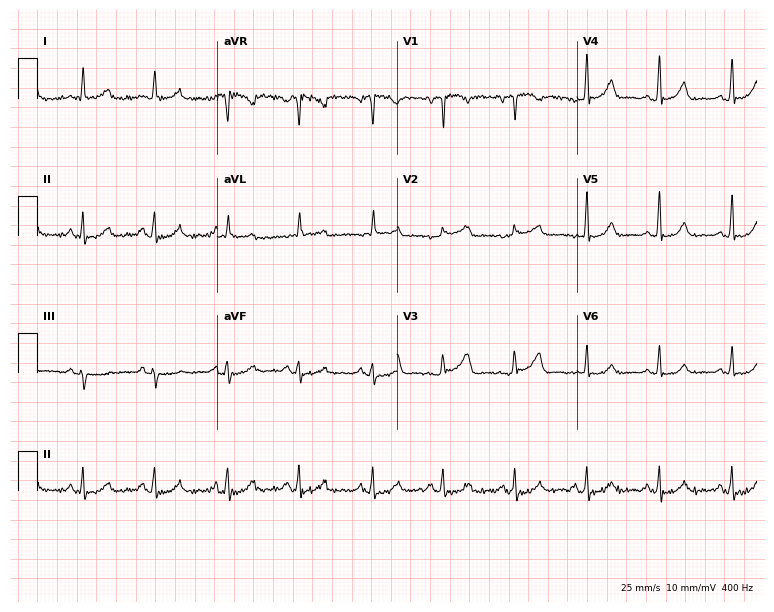
ECG — a woman, 75 years old. Screened for six findings — first-degree AV block, right bundle branch block, left bundle branch block, sinus bradycardia, atrial fibrillation, sinus tachycardia — none is recorded.